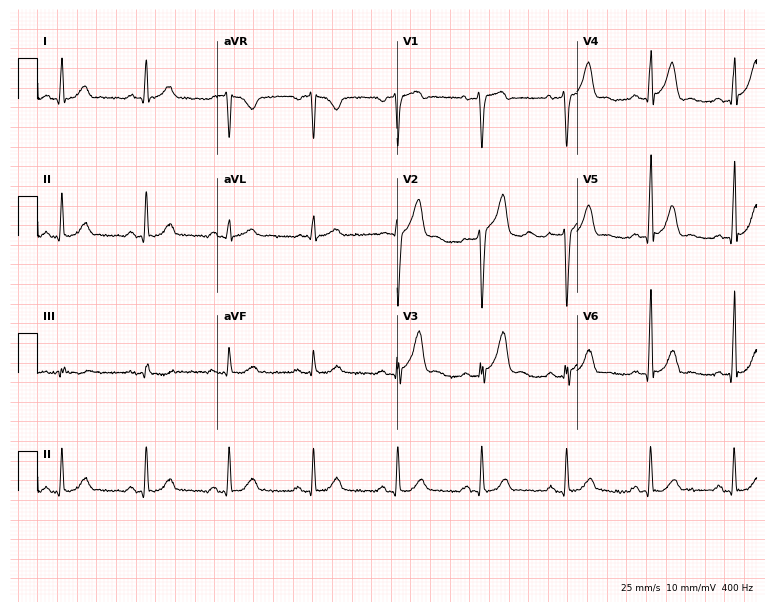
12-lead ECG from a male, 54 years old (7.3-second recording at 400 Hz). No first-degree AV block, right bundle branch block, left bundle branch block, sinus bradycardia, atrial fibrillation or sinus tachycardia recorded for this tracing.